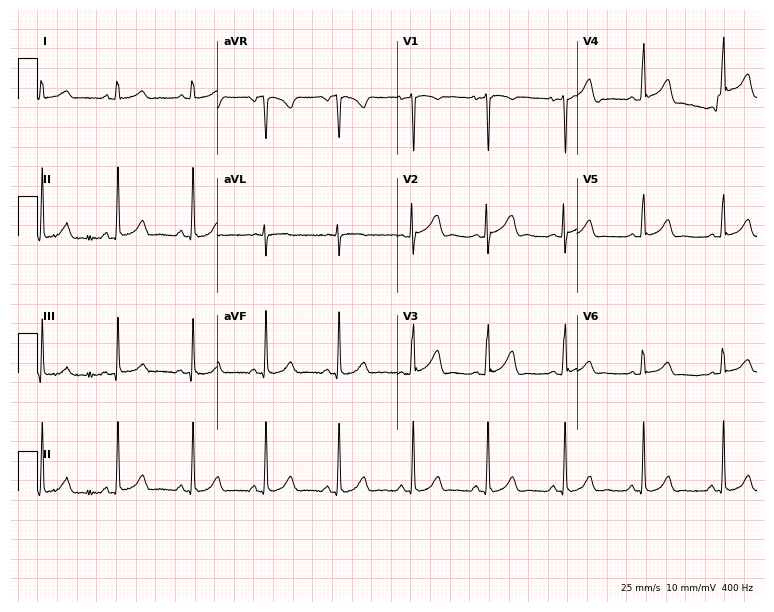
Electrocardiogram, a female, 22 years old. Overall reading on record: normal ECG.